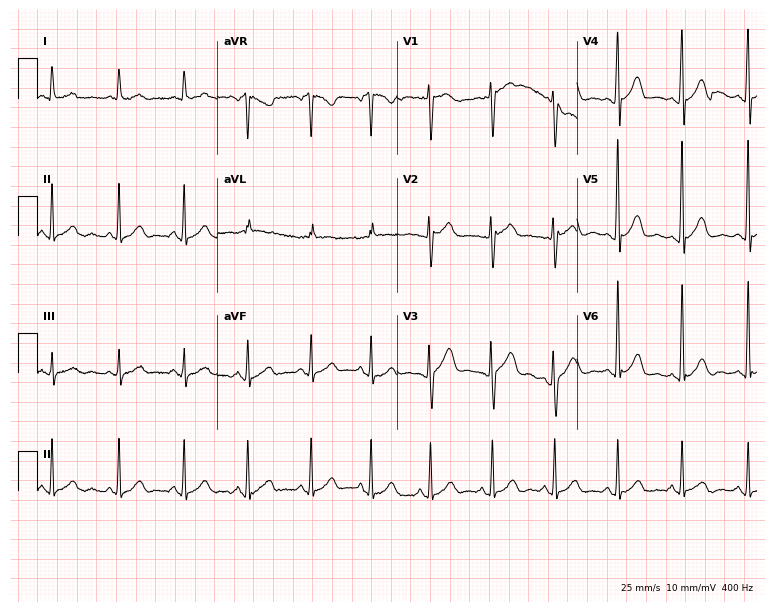
12-lead ECG from a 34-year-old male. Labelled as a normal ECG.